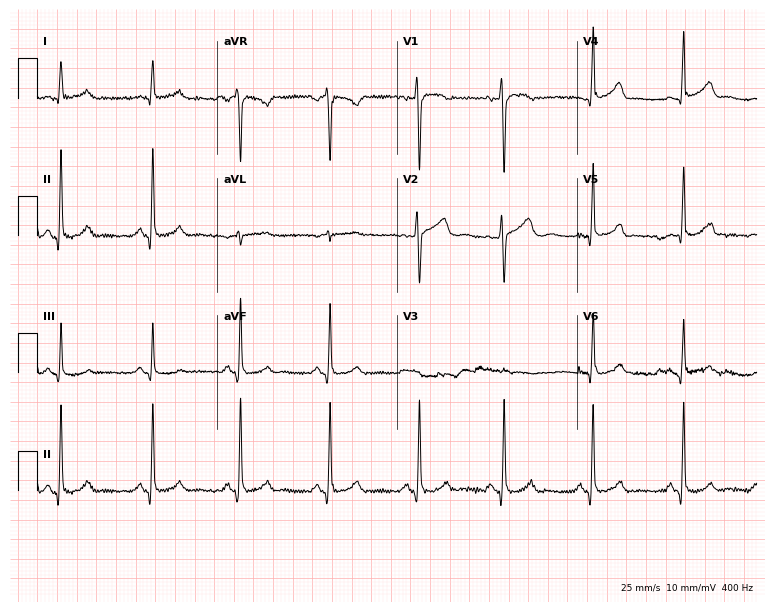
Standard 12-lead ECG recorded from a woman, 47 years old. Read as a normal ECG.